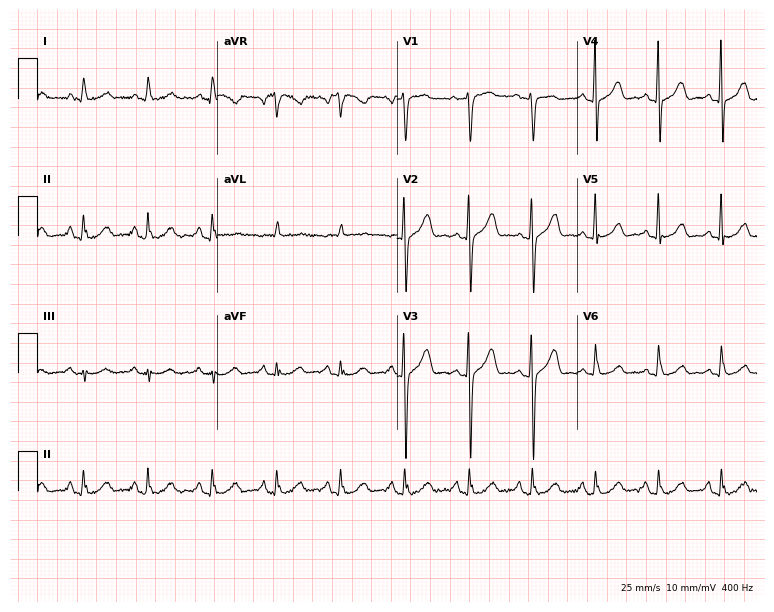
12-lead ECG from a 54-year-old female patient (7.3-second recording at 400 Hz). No first-degree AV block, right bundle branch block, left bundle branch block, sinus bradycardia, atrial fibrillation or sinus tachycardia recorded for this tracing.